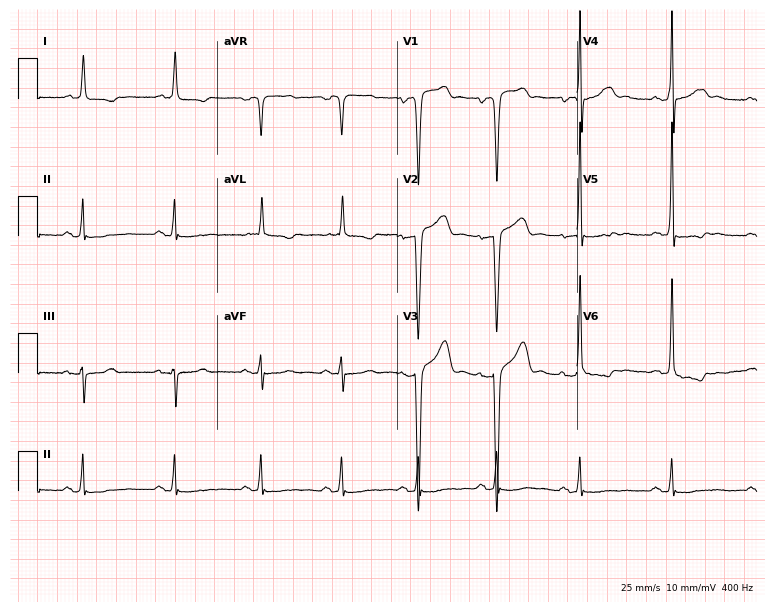
12-lead ECG from a male, 63 years old. No first-degree AV block, right bundle branch block, left bundle branch block, sinus bradycardia, atrial fibrillation or sinus tachycardia recorded for this tracing. Other findings, if any, are not listed.